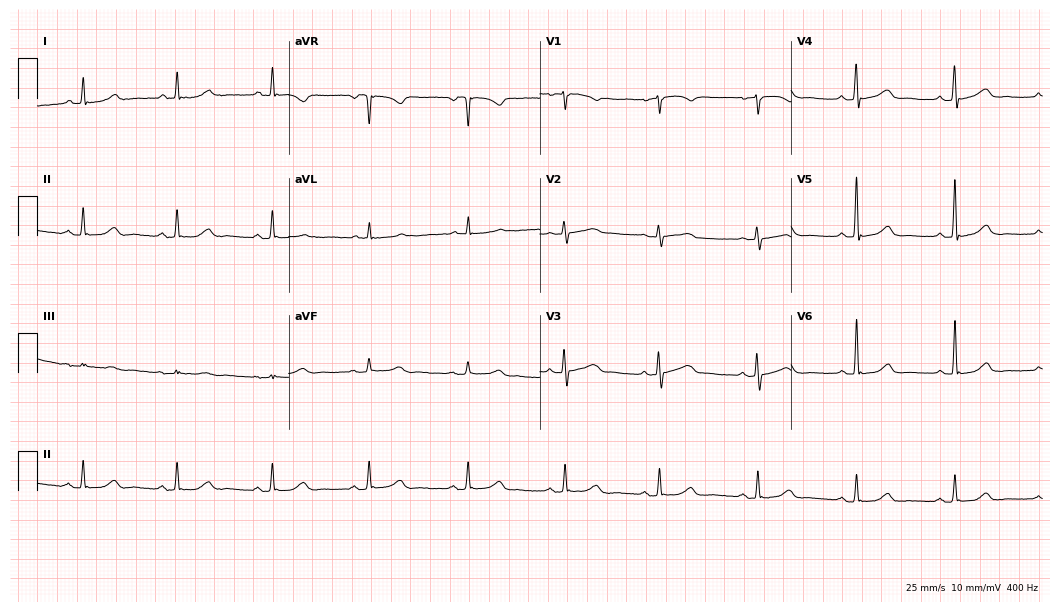
Standard 12-lead ECG recorded from a 61-year-old female (10.2-second recording at 400 Hz). Read as a normal ECG.